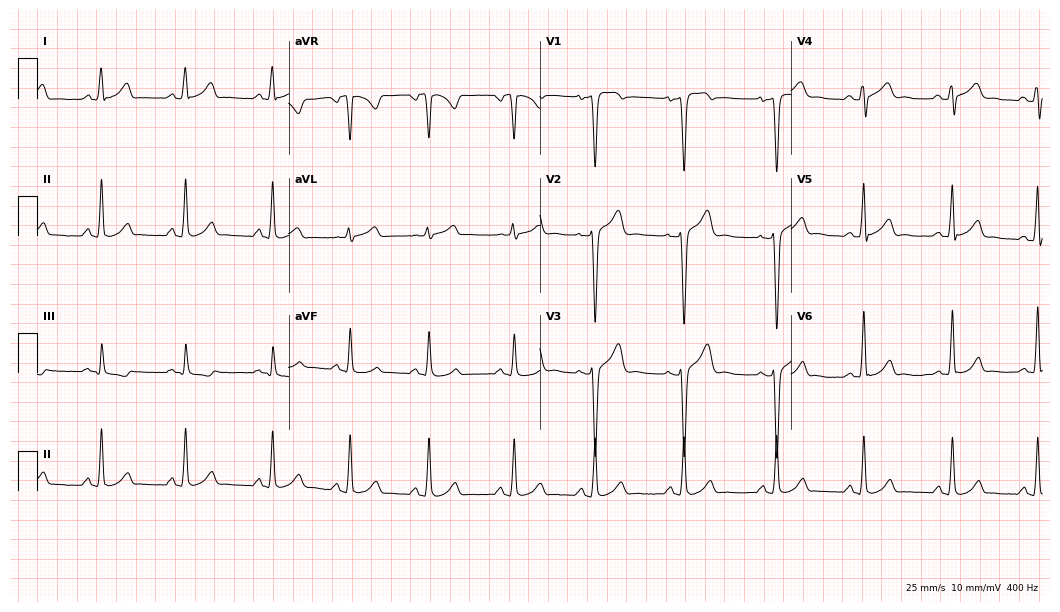
ECG — a male, 22 years old. Labelled as a normal ECG.